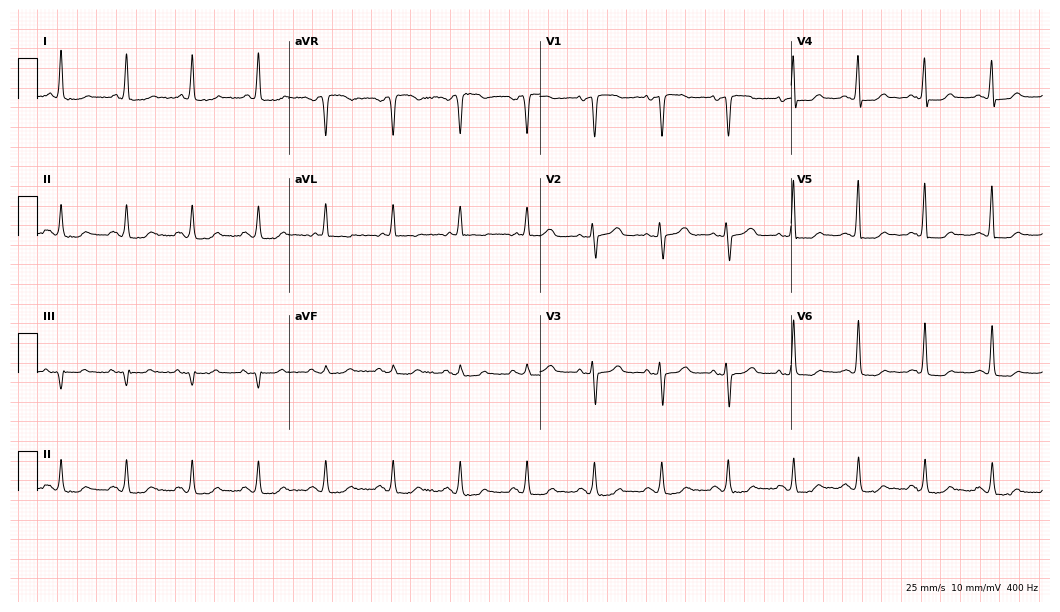
12-lead ECG from a woman, 62 years old (10.2-second recording at 400 Hz). No first-degree AV block, right bundle branch block, left bundle branch block, sinus bradycardia, atrial fibrillation or sinus tachycardia recorded for this tracing.